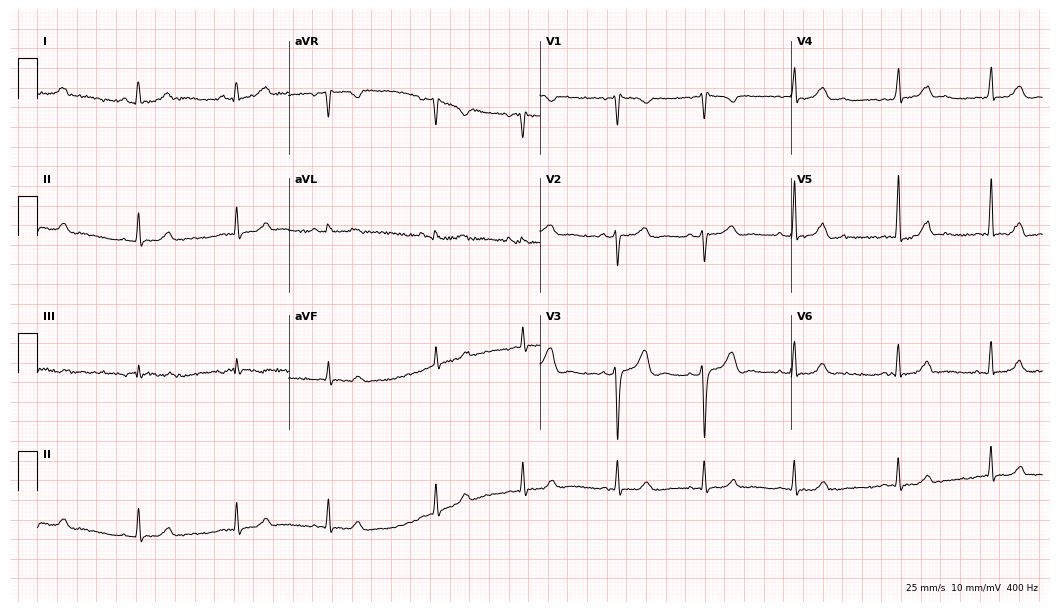
Electrocardiogram, a woman, 20 years old. Overall reading on record: normal ECG.